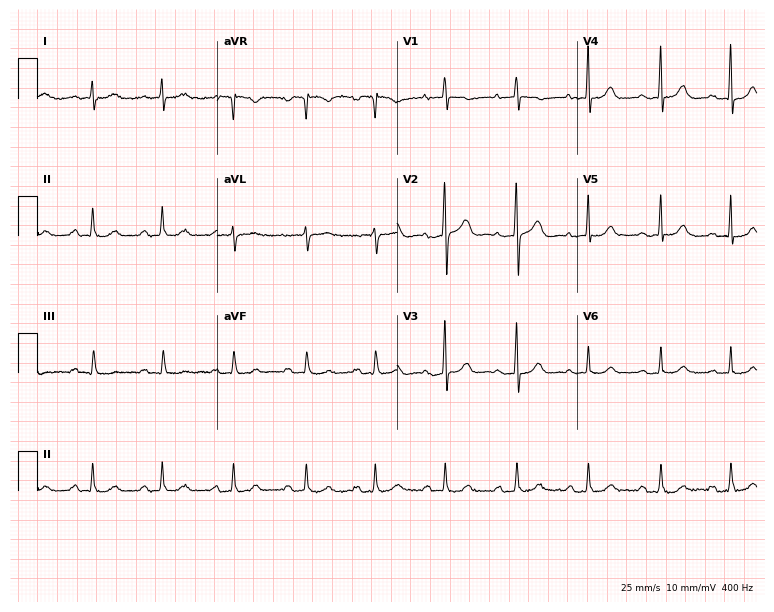
Electrocardiogram (7.3-second recording at 400 Hz), a 57-year-old female. Overall reading on record: normal ECG.